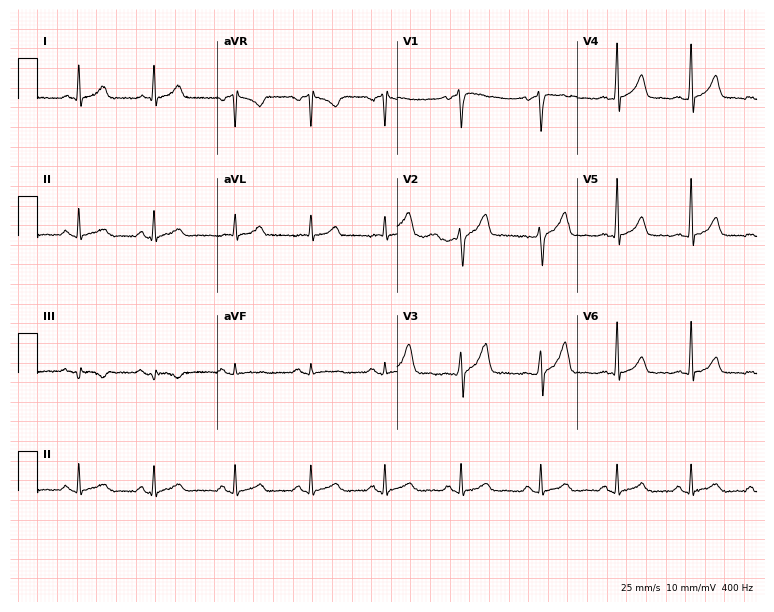
Resting 12-lead electrocardiogram (7.3-second recording at 400 Hz). Patient: a 35-year-old male. Read as a normal ECG.